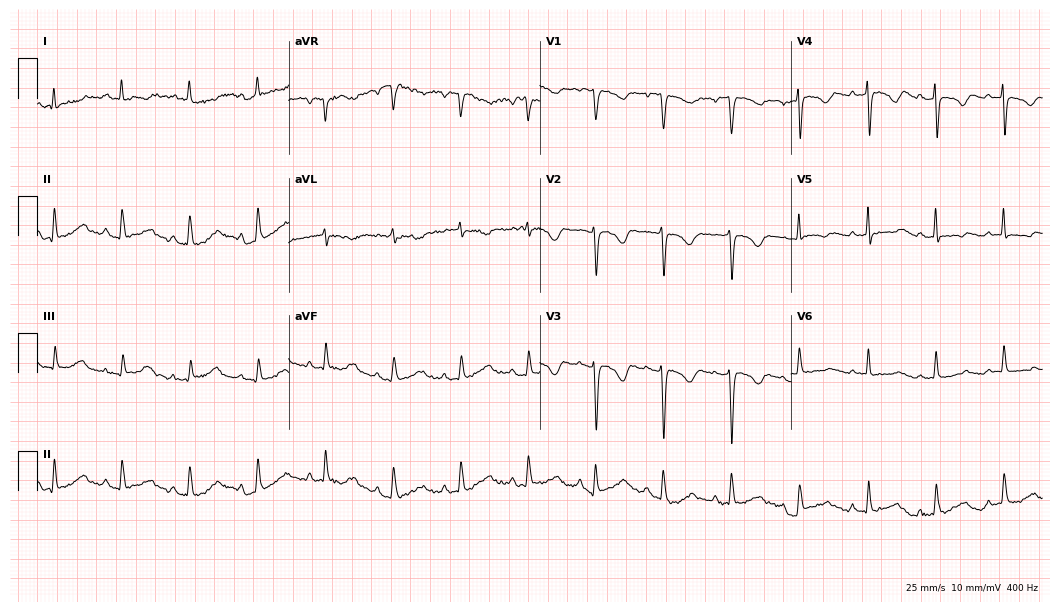
Standard 12-lead ECG recorded from a female, 78 years old (10.2-second recording at 400 Hz). None of these six findings is recorded: first-degree AV block, right bundle branch block, left bundle branch block, sinus bradycardia, atrial fibrillation, sinus tachycardia.